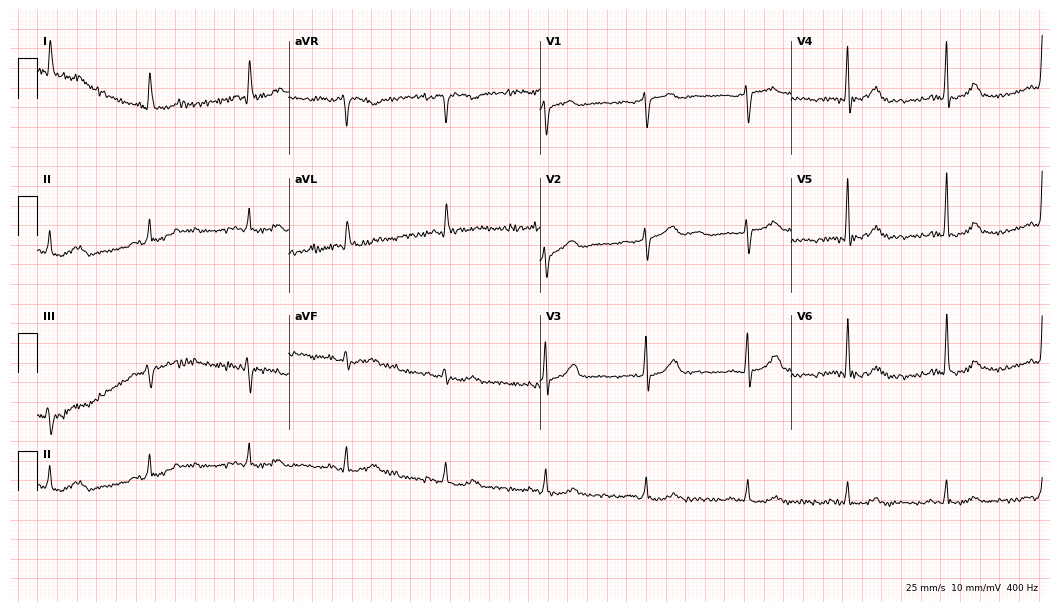
Resting 12-lead electrocardiogram (10.2-second recording at 400 Hz). Patient: a male, 51 years old. None of these six findings is recorded: first-degree AV block, right bundle branch block (RBBB), left bundle branch block (LBBB), sinus bradycardia, atrial fibrillation (AF), sinus tachycardia.